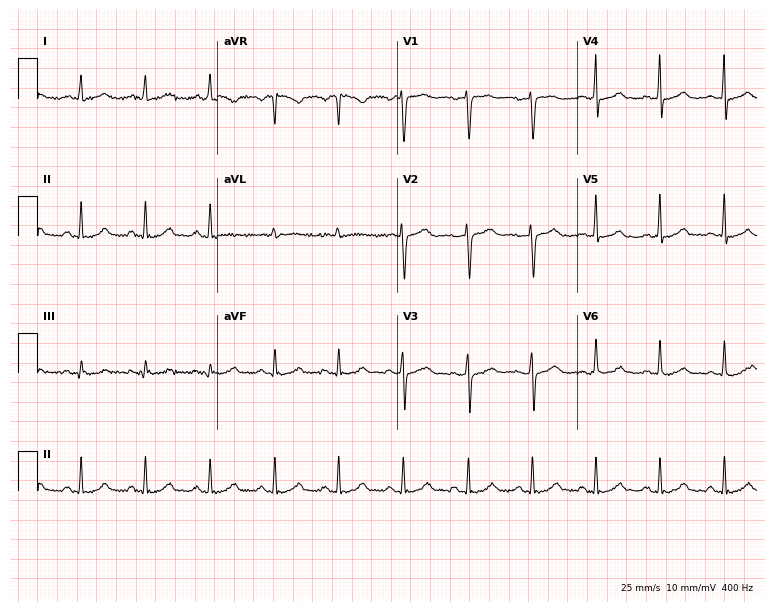
Electrocardiogram (7.3-second recording at 400 Hz), a 42-year-old woman. Overall reading on record: normal ECG.